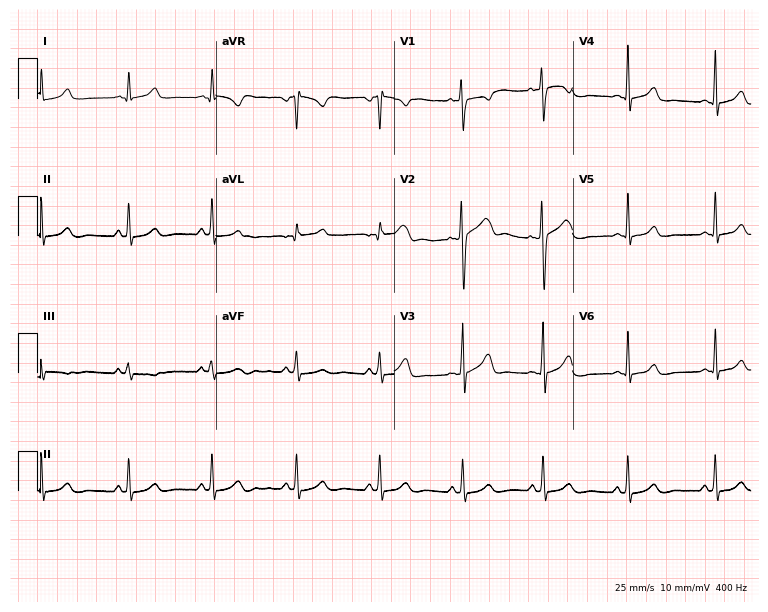
Electrocardiogram (7.3-second recording at 400 Hz), a female, 29 years old. Overall reading on record: normal ECG.